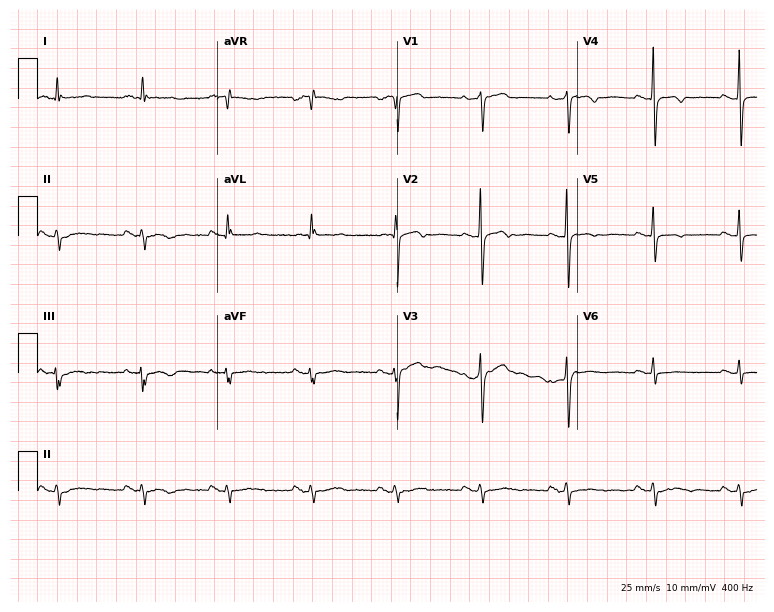
Standard 12-lead ECG recorded from an 84-year-old female. None of these six findings is recorded: first-degree AV block, right bundle branch block (RBBB), left bundle branch block (LBBB), sinus bradycardia, atrial fibrillation (AF), sinus tachycardia.